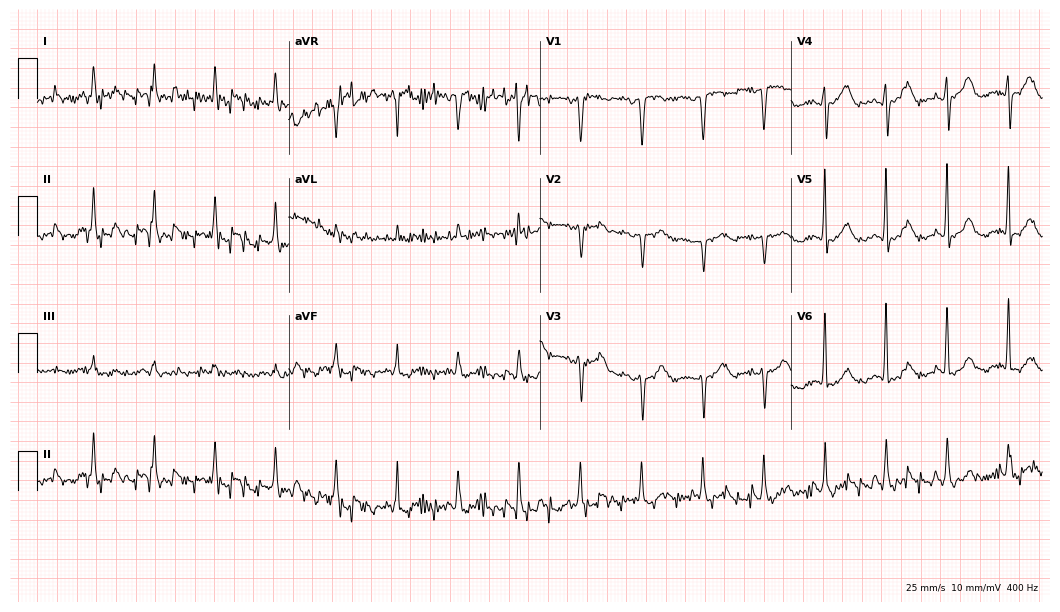
12-lead ECG from a 37-year-old female patient (10.2-second recording at 400 Hz). No first-degree AV block, right bundle branch block (RBBB), left bundle branch block (LBBB), sinus bradycardia, atrial fibrillation (AF) or sinus tachycardia recorded for this tracing.